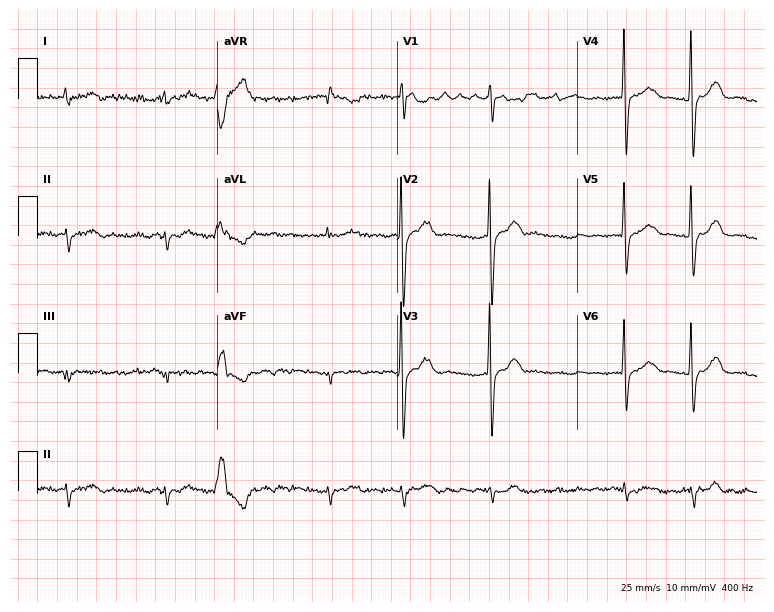
Resting 12-lead electrocardiogram. Patient: a male, 61 years old. None of these six findings is recorded: first-degree AV block, right bundle branch block, left bundle branch block, sinus bradycardia, atrial fibrillation, sinus tachycardia. Other findings, if any, are not listed.